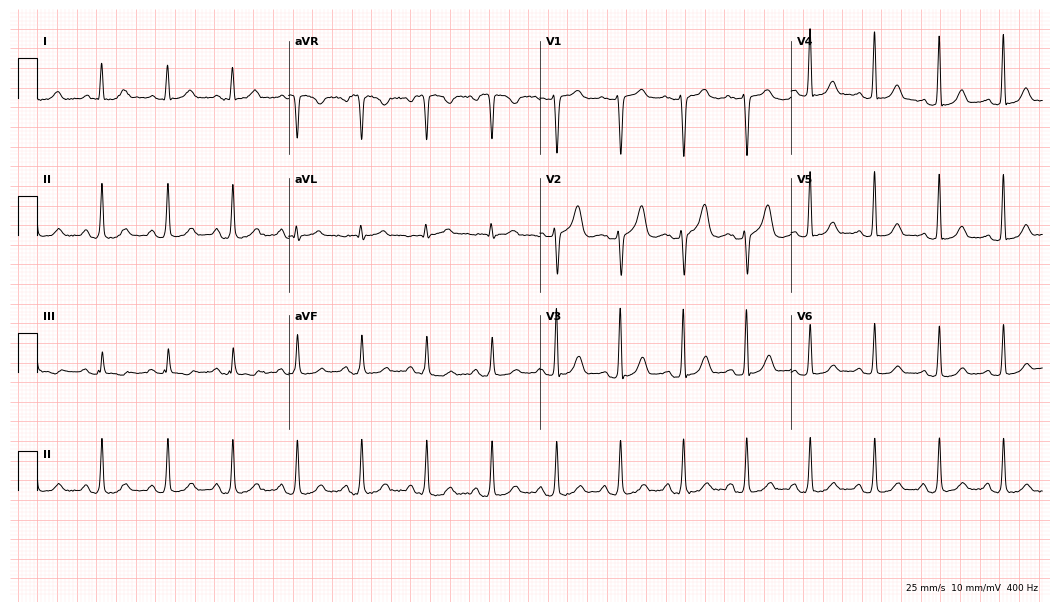
Standard 12-lead ECG recorded from a female, 45 years old (10.2-second recording at 400 Hz). Read as a normal ECG.